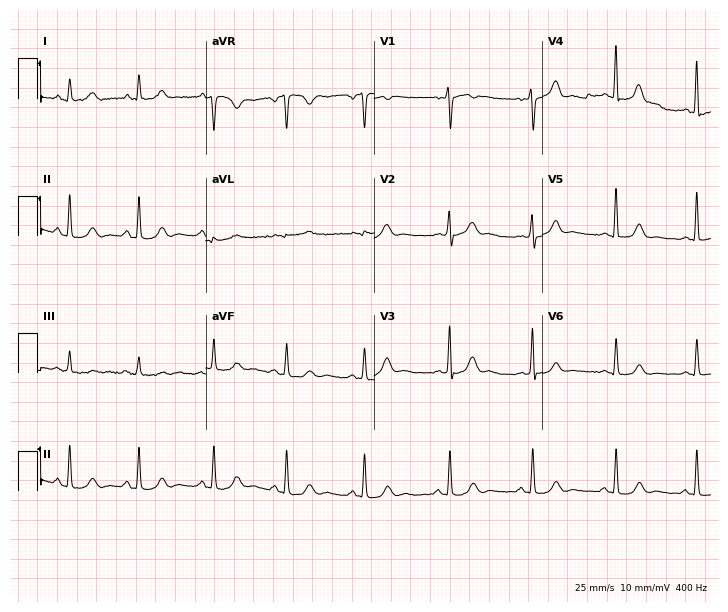
Resting 12-lead electrocardiogram (6.9-second recording at 400 Hz). Patient: a 42-year-old male. None of these six findings is recorded: first-degree AV block, right bundle branch block, left bundle branch block, sinus bradycardia, atrial fibrillation, sinus tachycardia.